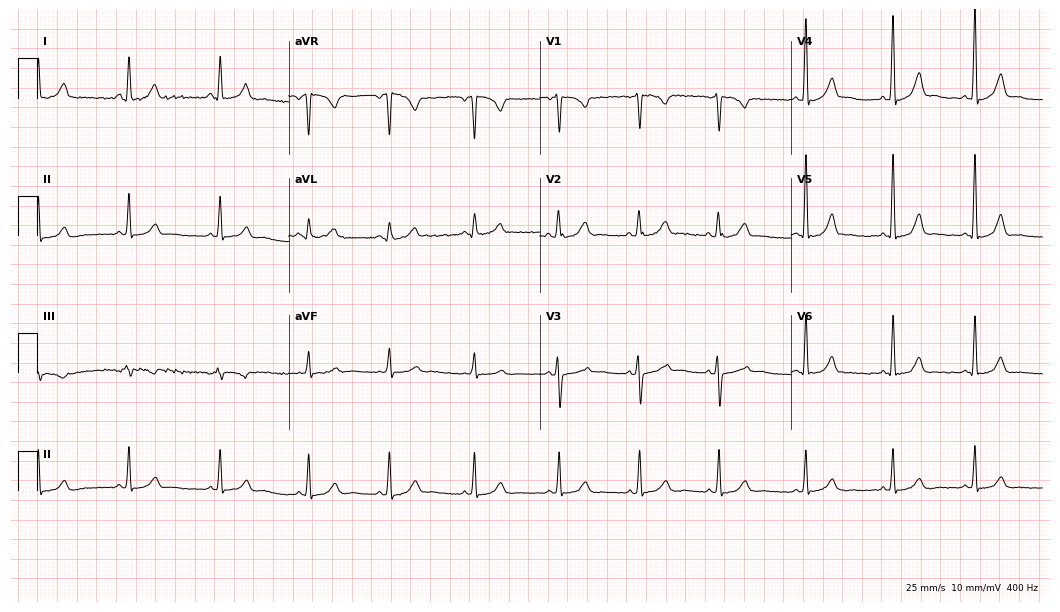
ECG (10.2-second recording at 400 Hz) — a 22-year-old female patient. Labelled as a normal ECG.